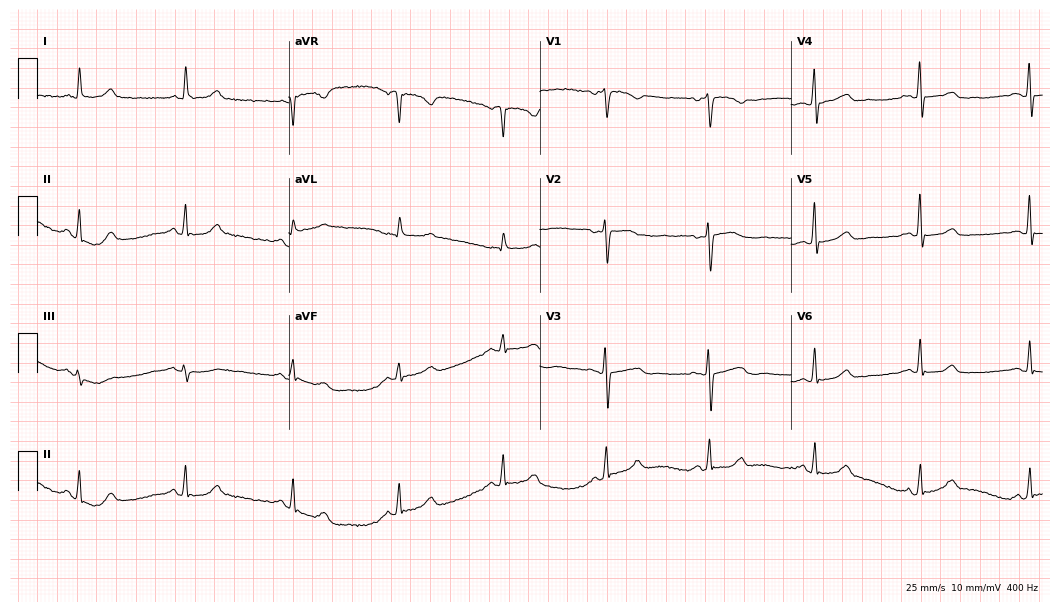
12-lead ECG from a 63-year-old female patient (10.2-second recording at 400 Hz). Recorded interpretation: within normal limits.